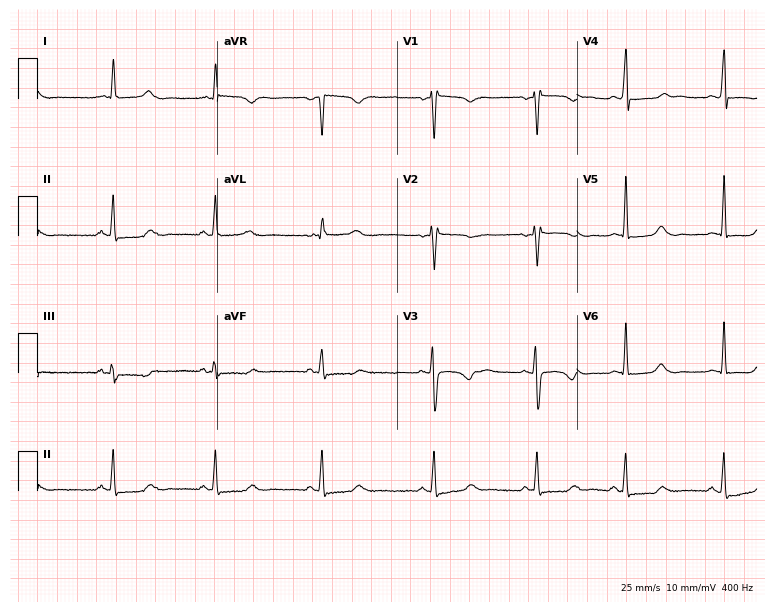
ECG (7.3-second recording at 400 Hz) — a 30-year-old woman. Screened for six findings — first-degree AV block, right bundle branch block, left bundle branch block, sinus bradycardia, atrial fibrillation, sinus tachycardia — none is recorded.